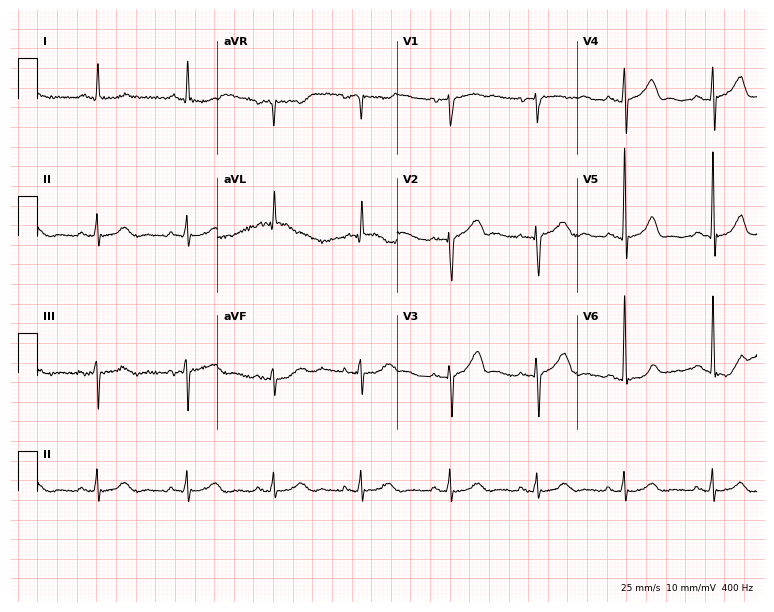
Resting 12-lead electrocardiogram. Patient: a 62-year-old male. None of these six findings is recorded: first-degree AV block, right bundle branch block, left bundle branch block, sinus bradycardia, atrial fibrillation, sinus tachycardia.